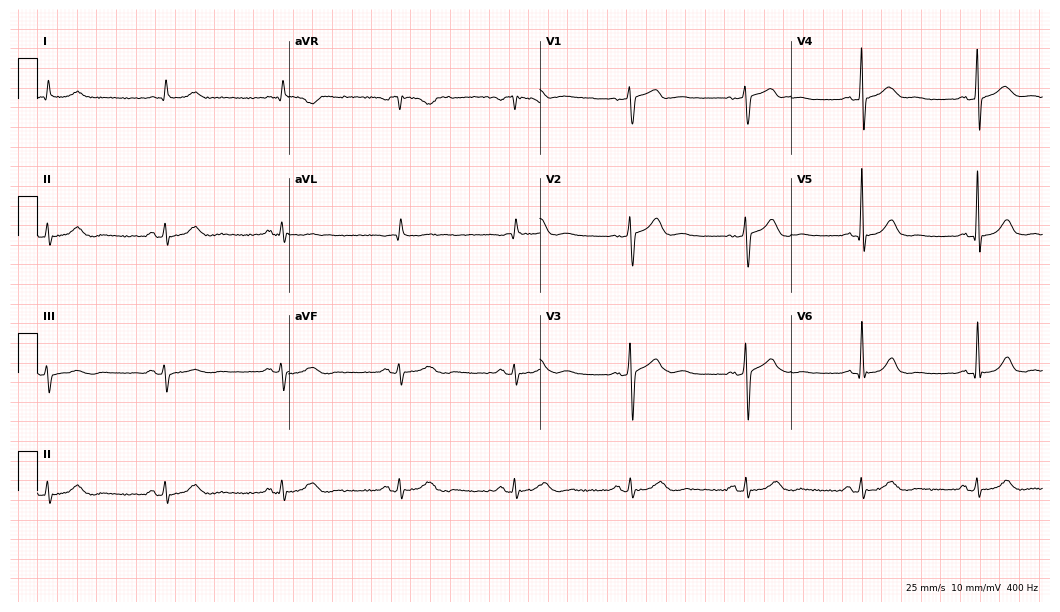
ECG (10.2-second recording at 400 Hz) — a 73-year-old male. Findings include sinus bradycardia (a sinus rate of 50 beats per minute or less).